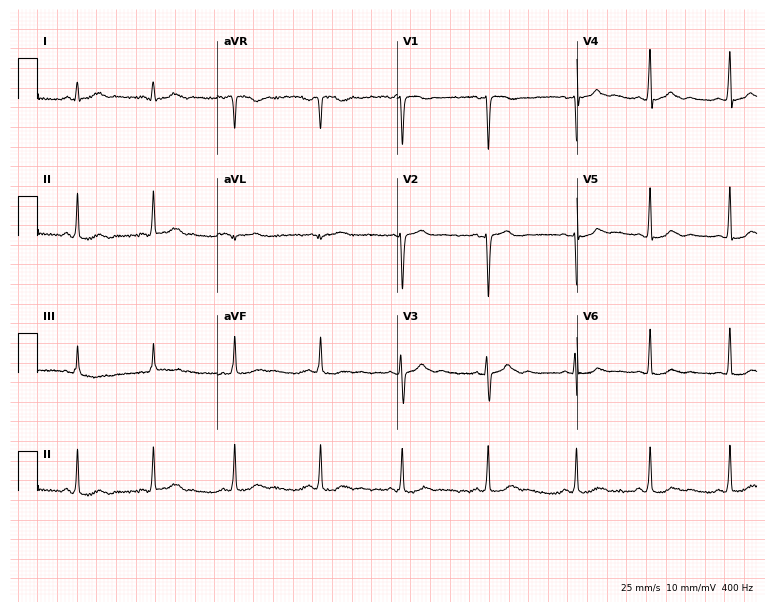
Resting 12-lead electrocardiogram (7.3-second recording at 400 Hz). Patient: a 17-year-old woman. Read as a normal ECG.